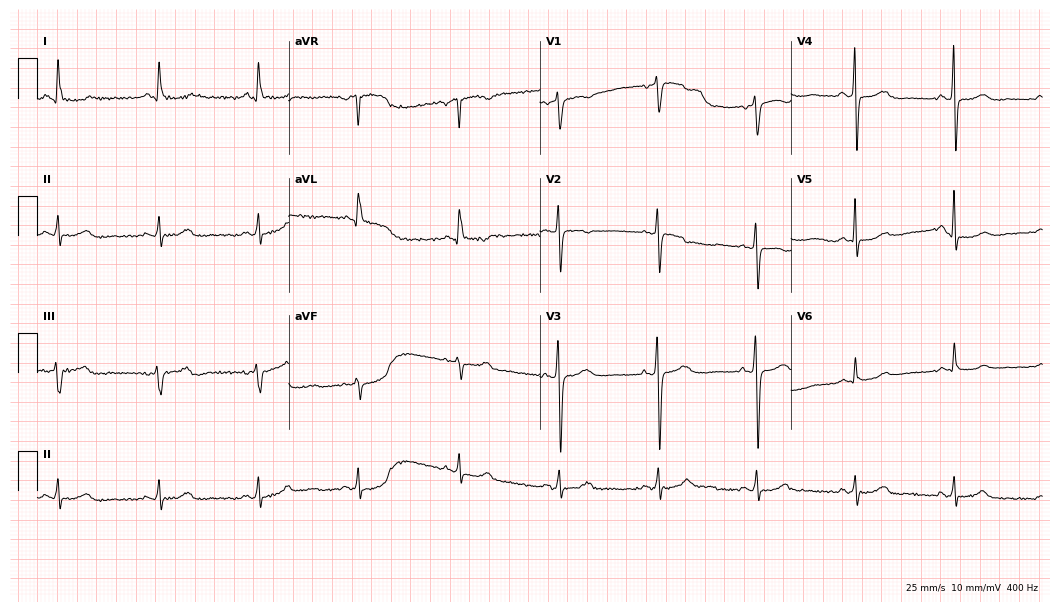
12-lead ECG from a woman, 83 years old (10.2-second recording at 400 Hz). Recorded interpretation: within normal limits.